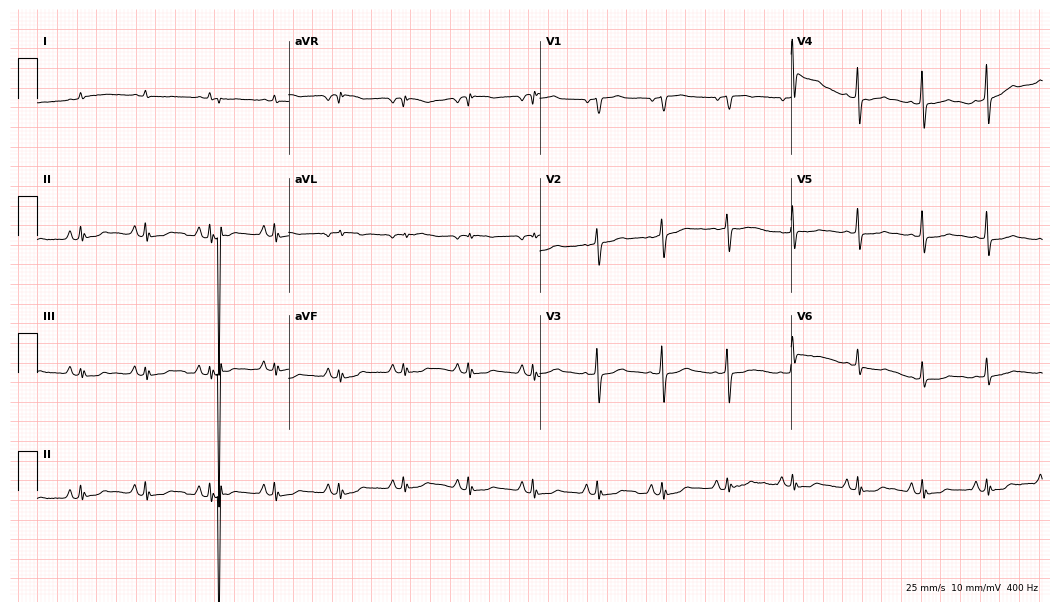
12-lead ECG from an 80-year-old male patient (10.2-second recording at 400 Hz). No first-degree AV block, right bundle branch block, left bundle branch block, sinus bradycardia, atrial fibrillation or sinus tachycardia recorded for this tracing.